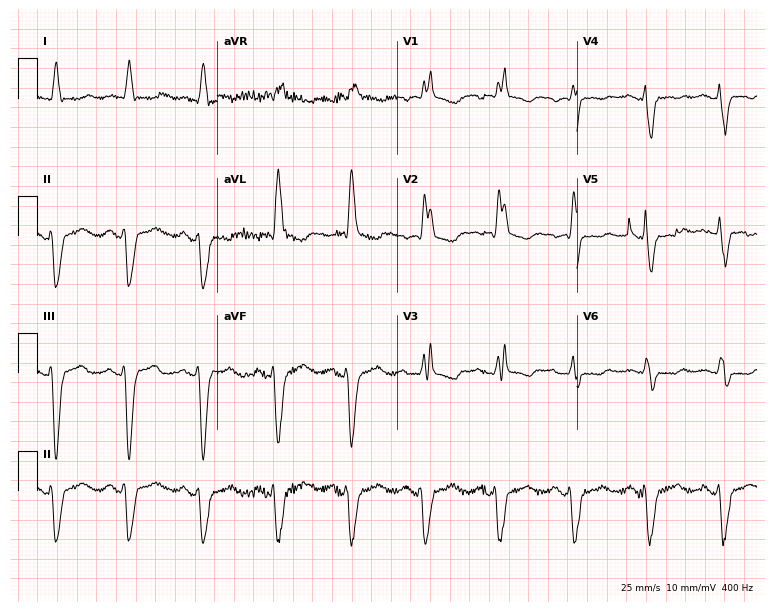
ECG (7.3-second recording at 400 Hz) — a 66-year-old woman. Findings include right bundle branch block.